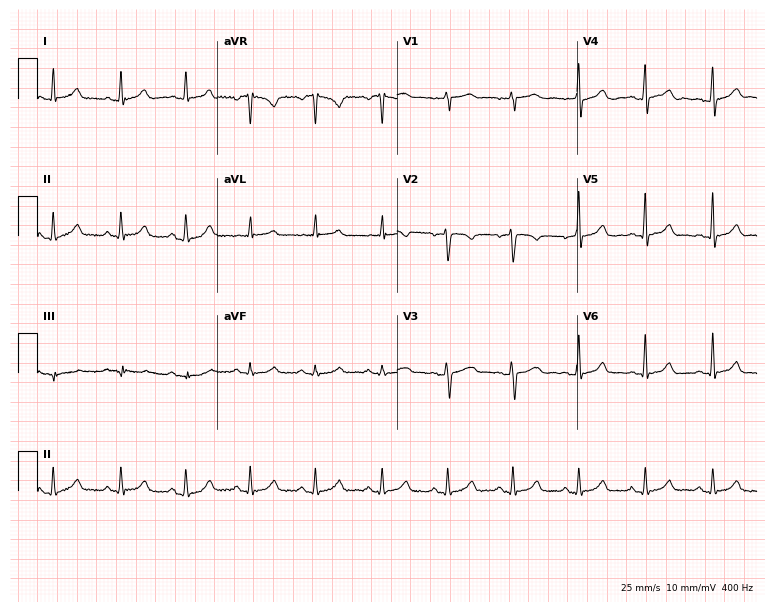
12-lead ECG from a 60-year-old female patient. Labelled as a normal ECG.